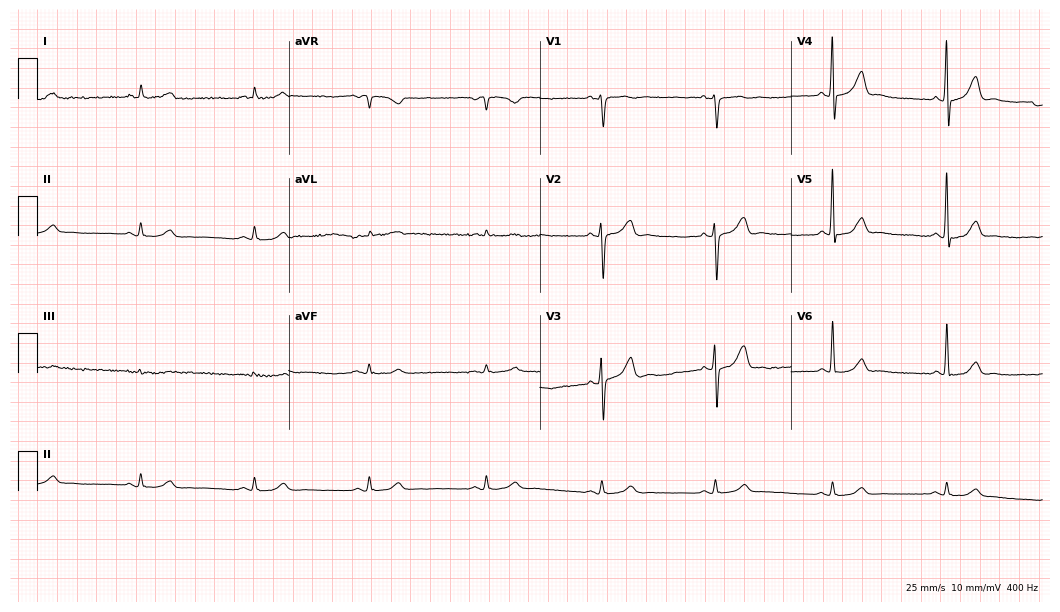
ECG (10.2-second recording at 400 Hz) — a man, 67 years old. Screened for six findings — first-degree AV block, right bundle branch block, left bundle branch block, sinus bradycardia, atrial fibrillation, sinus tachycardia — none is recorded. Findings outside these six are not listed.